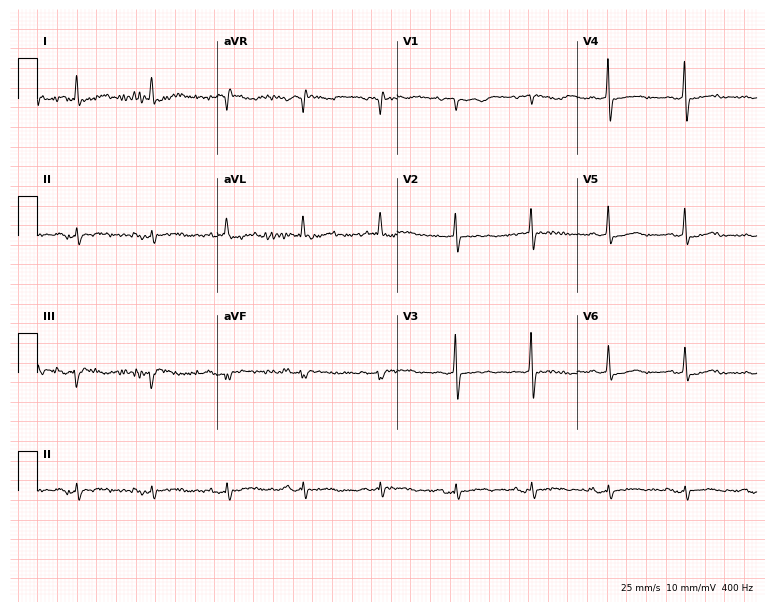
ECG (7.3-second recording at 400 Hz) — a woman, 69 years old. Screened for six findings — first-degree AV block, right bundle branch block, left bundle branch block, sinus bradycardia, atrial fibrillation, sinus tachycardia — none is recorded.